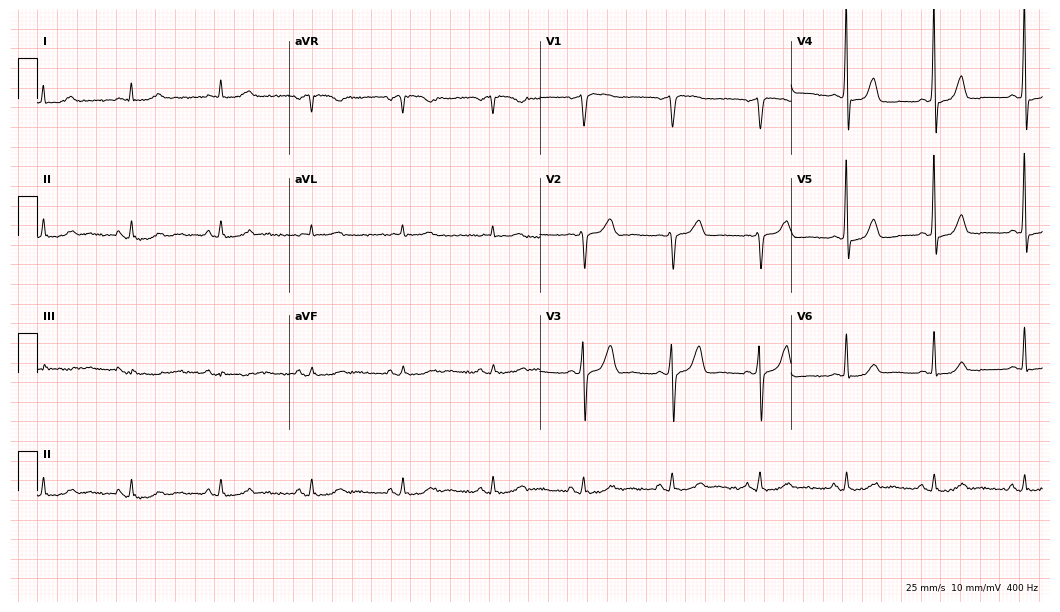
Resting 12-lead electrocardiogram. Patient: a female, 71 years old. None of these six findings is recorded: first-degree AV block, right bundle branch block, left bundle branch block, sinus bradycardia, atrial fibrillation, sinus tachycardia.